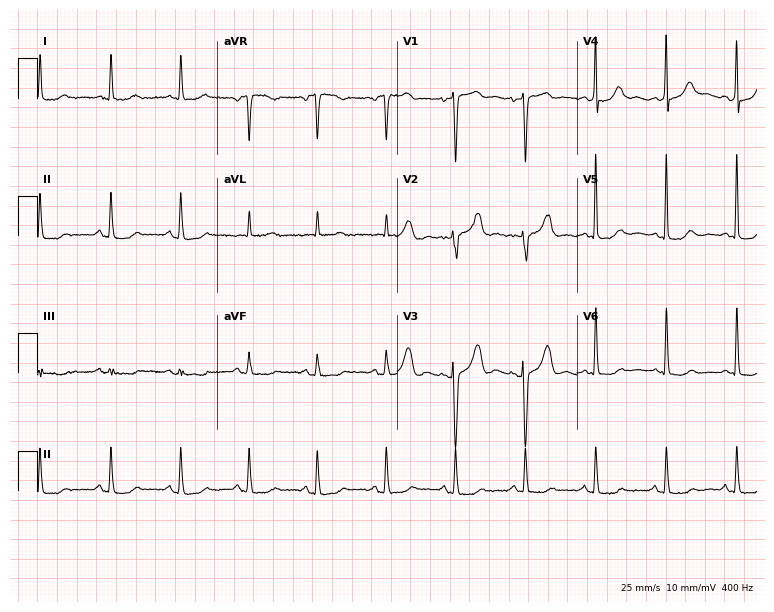
ECG — a woman, 24 years old. Labelled as a normal ECG.